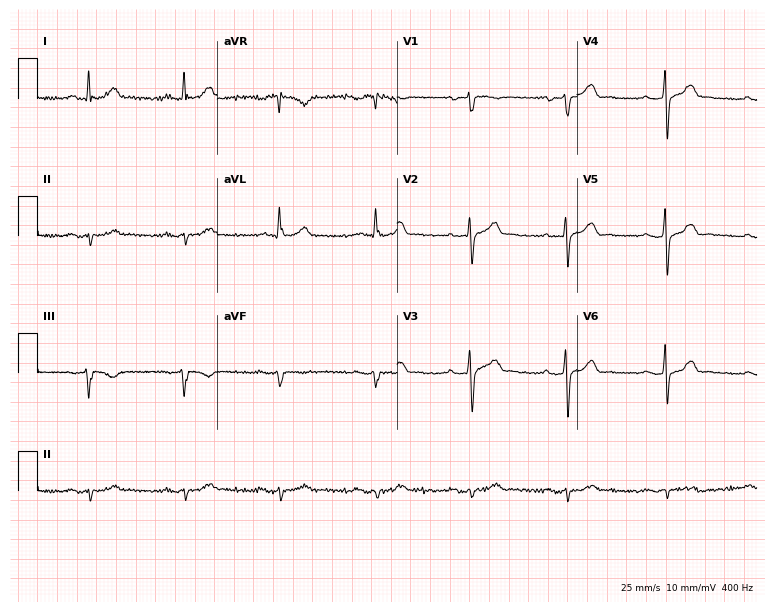
Standard 12-lead ECG recorded from a male, 65 years old. None of these six findings is recorded: first-degree AV block, right bundle branch block (RBBB), left bundle branch block (LBBB), sinus bradycardia, atrial fibrillation (AF), sinus tachycardia. Other findings, if any, are not listed.